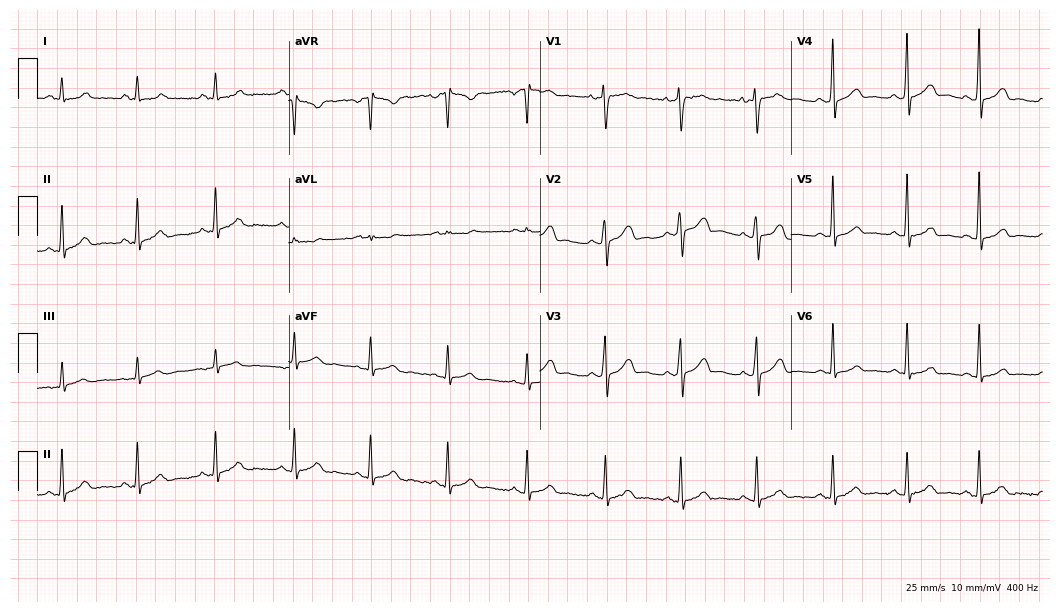
Resting 12-lead electrocardiogram. Patient: a female, 38 years old. None of these six findings is recorded: first-degree AV block, right bundle branch block, left bundle branch block, sinus bradycardia, atrial fibrillation, sinus tachycardia. Other findings, if any, are not listed.